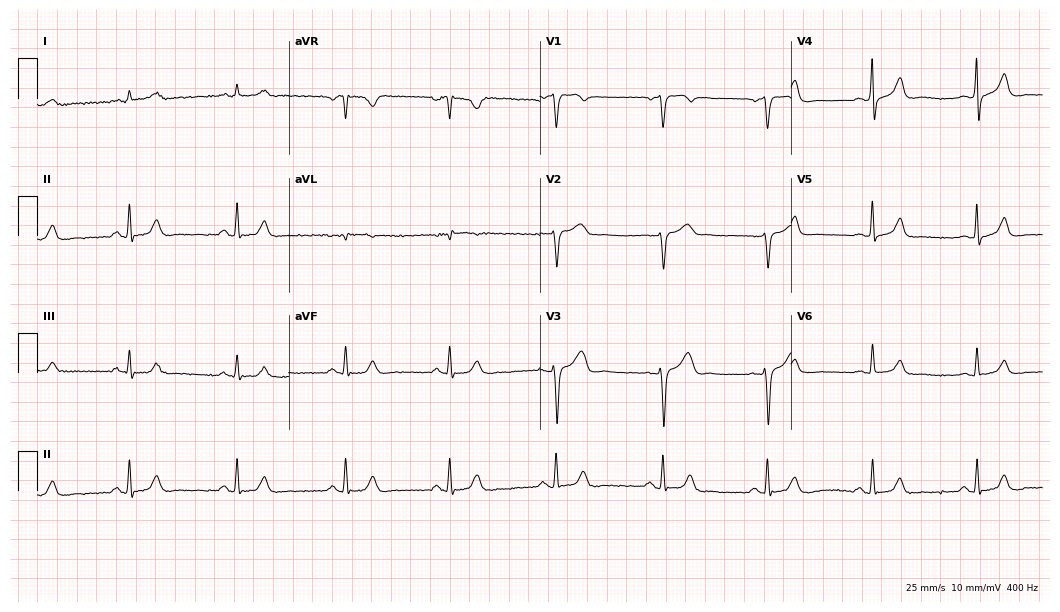
12-lead ECG from a male patient, 66 years old. Recorded interpretation: within normal limits.